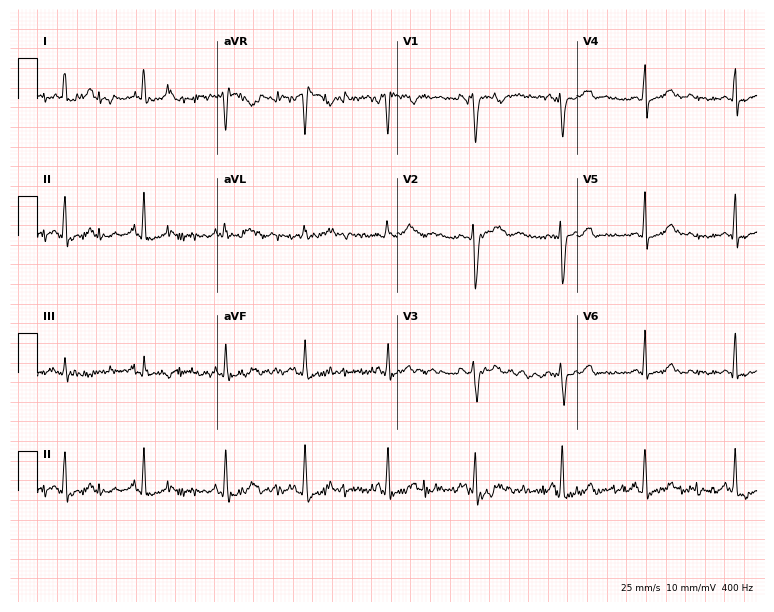
Electrocardiogram (7.3-second recording at 400 Hz), a female patient, 18 years old. Of the six screened findings (first-degree AV block, right bundle branch block (RBBB), left bundle branch block (LBBB), sinus bradycardia, atrial fibrillation (AF), sinus tachycardia), none is recorded.